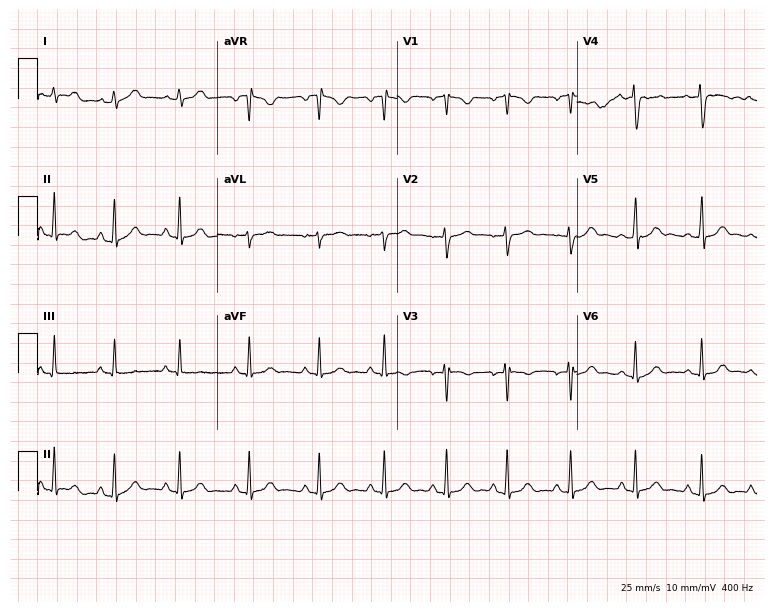
Electrocardiogram (7.3-second recording at 400 Hz), a female patient, 17 years old. Overall reading on record: normal ECG.